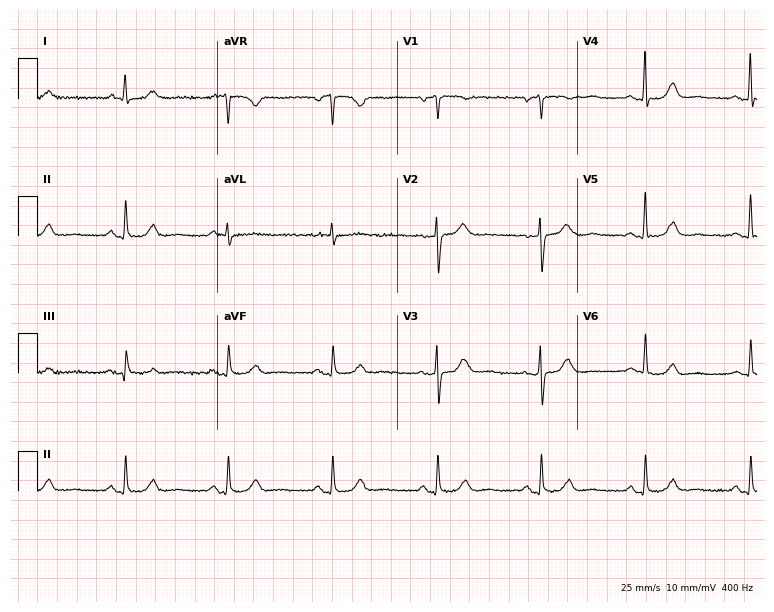
Electrocardiogram, a 62-year-old man. Of the six screened findings (first-degree AV block, right bundle branch block, left bundle branch block, sinus bradycardia, atrial fibrillation, sinus tachycardia), none is recorded. Other findings, if any, are not listed.